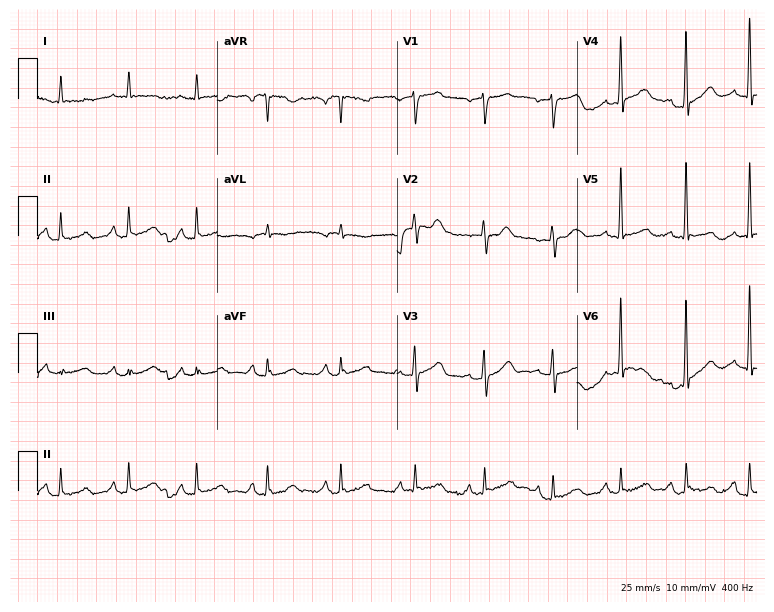
12-lead ECG from a male patient, 71 years old (7.3-second recording at 400 Hz). No first-degree AV block, right bundle branch block (RBBB), left bundle branch block (LBBB), sinus bradycardia, atrial fibrillation (AF) or sinus tachycardia recorded for this tracing.